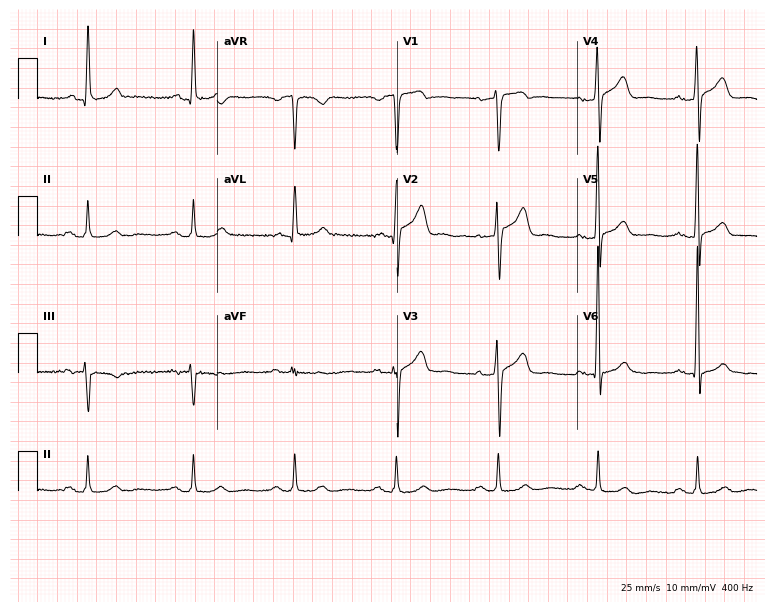
Standard 12-lead ECG recorded from a male patient, 53 years old. None of these six findings is recorded: first-degree AV block, right bundle branch block (RBBB), left bundle branch block (LBBB), sinus bradycardia, atrial fibrillation (AF), sinus tachycardia. Other findings, if any, are not listed.